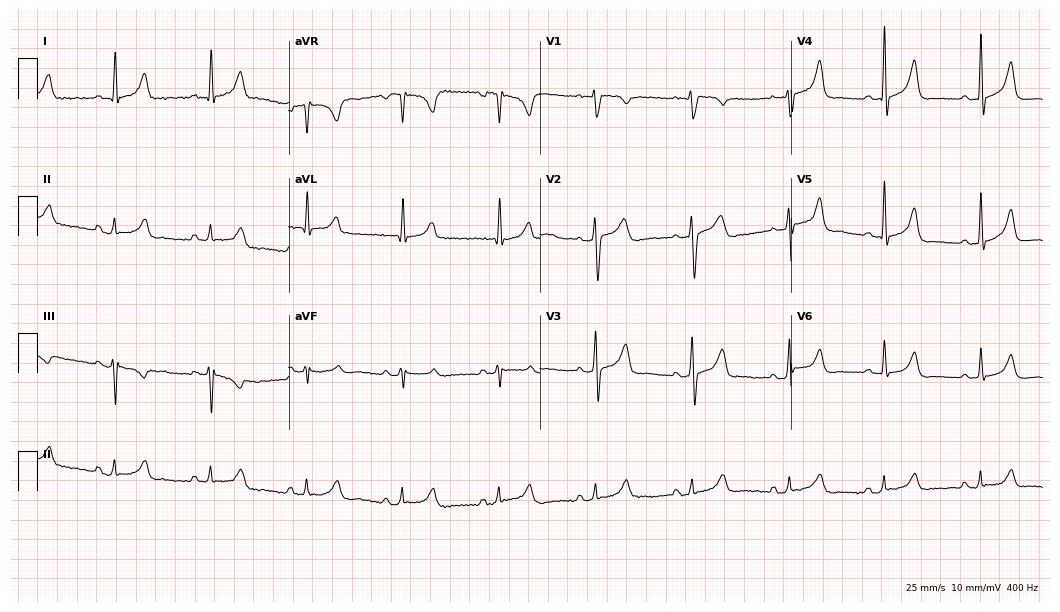
ECG — a 61-year-old male. Labelled as a normal ECG.